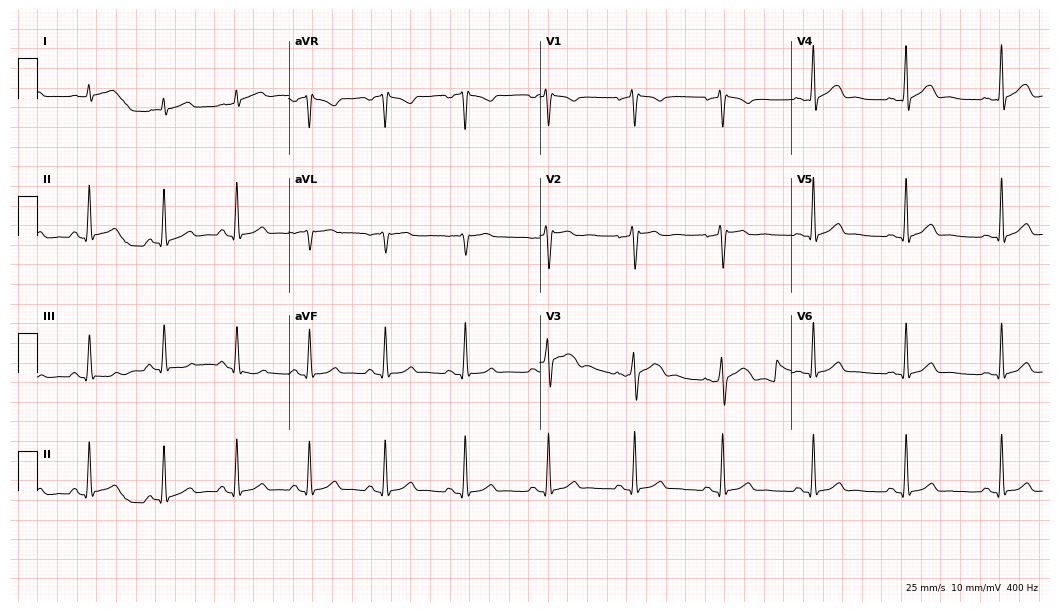
12-lead ECG from a man, 34 years old (10.2-second recording at 400 Hz). Recorded interpretation: within normal limits.